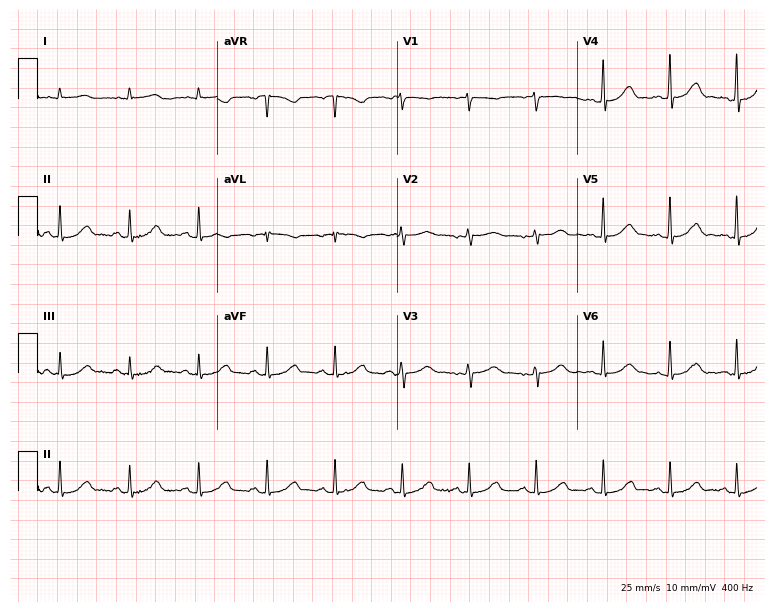
Electrocardiogram (7.3-second recording at 400 Hz), a 50-year-old female patient. Of the six screened findings (first-degree AV block, right bundle branch block (RBBB), left bundle branch block (LBBB), sinus bradycardia, atrial fibrillation (AF), sinus tachycardia), none is recorded.